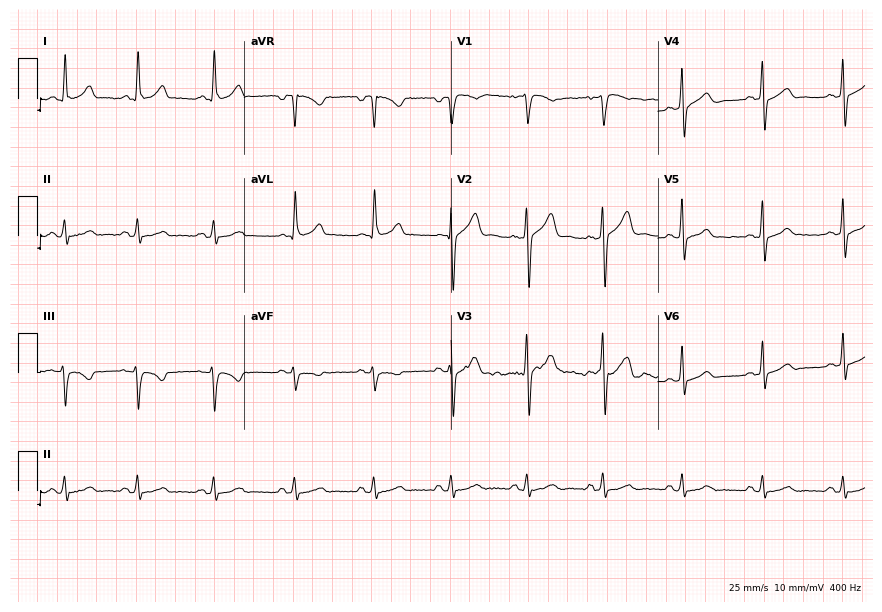
12-lead ECG from a male patient, 49 years old. Labelled as a normal ECG.